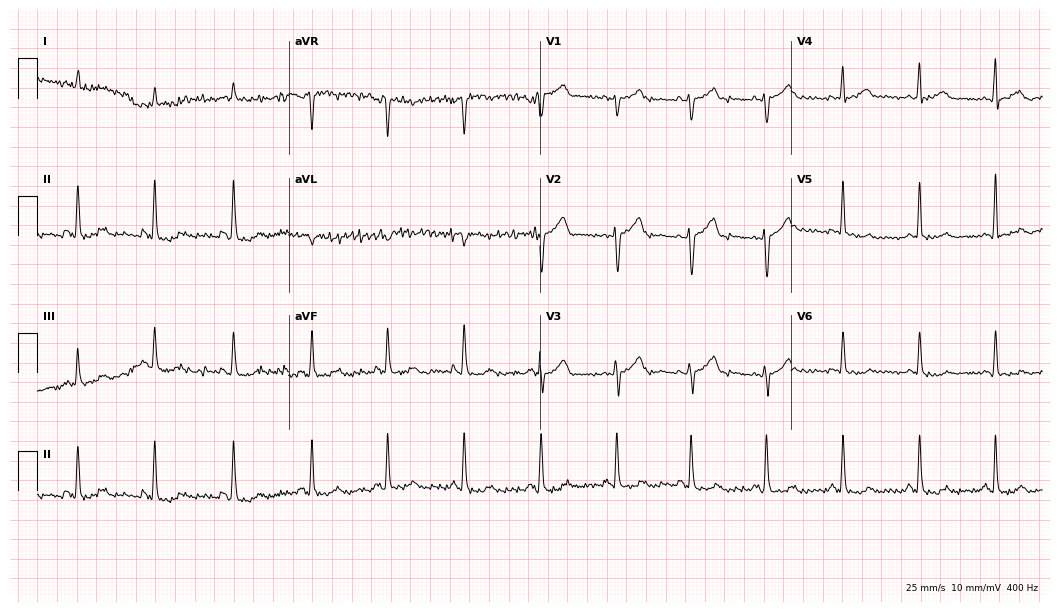
ECG — a 58-year-old male patient. Screened for six findings — first-degree AV block, right bundle branch block, left bundle branch block, sinus bradycardia, atrial fibrillation, sinus tachycardia — none is recorded.